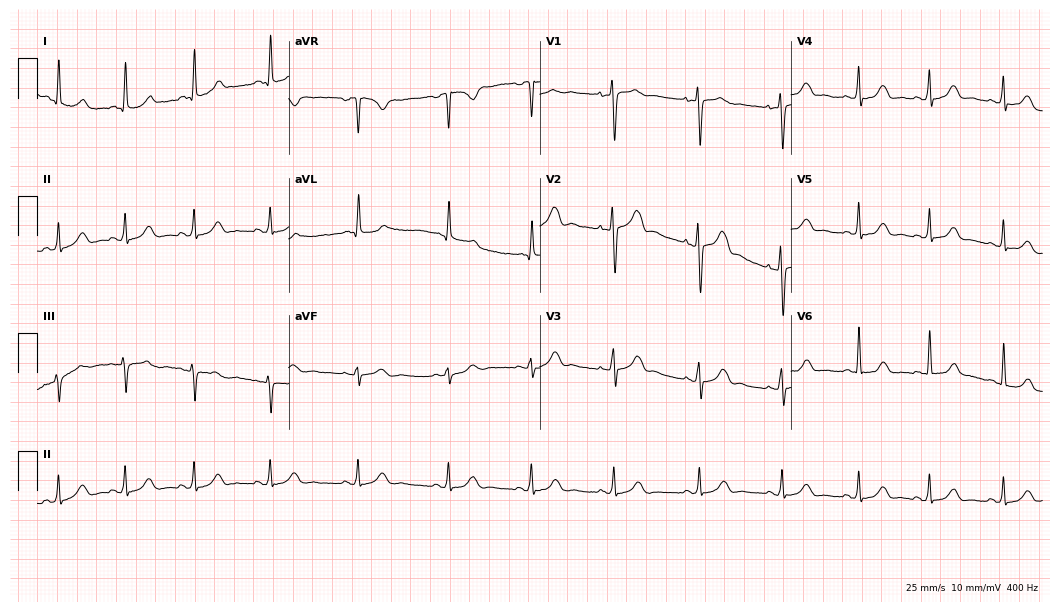
12-lead ECG from a 41-year-old woman. Labelled as a normal ECG.